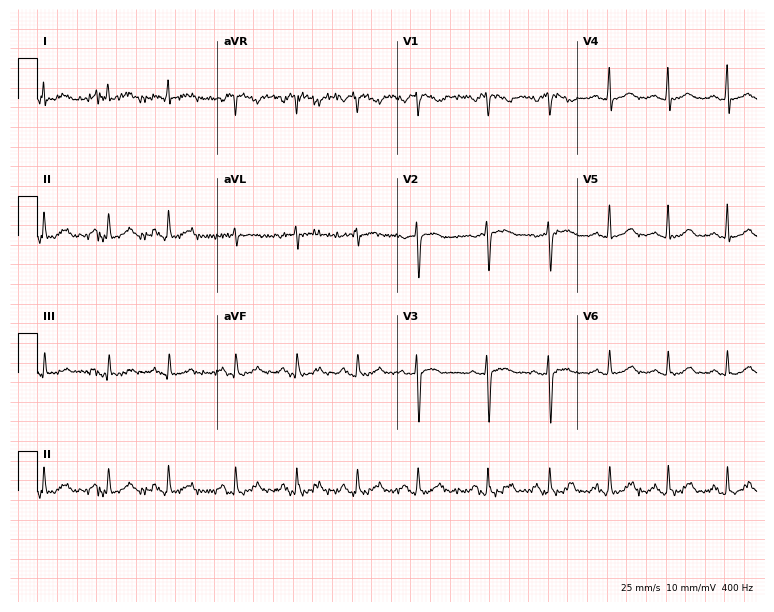
12-lead ECG (7.3-second recording at 400 Hz) from a 69-year-old female patient. Labelled as a normal ECG.